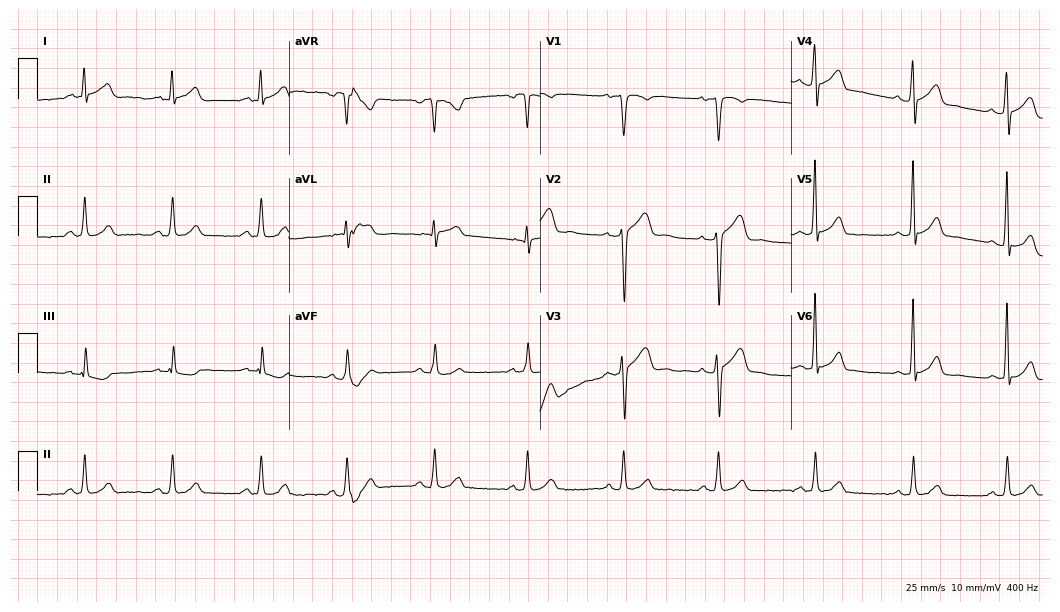
Electrocardiogram (10.2-second recording at 400 Hz), a 37-year-old male patient. Of the six screened findings (first-degree AV block, right bundle branch block, left bundle branch block, sinus bradycardia, atrial fibrillation, sinus tachycardia), none is recorded. Other findings, if any, are not listed.